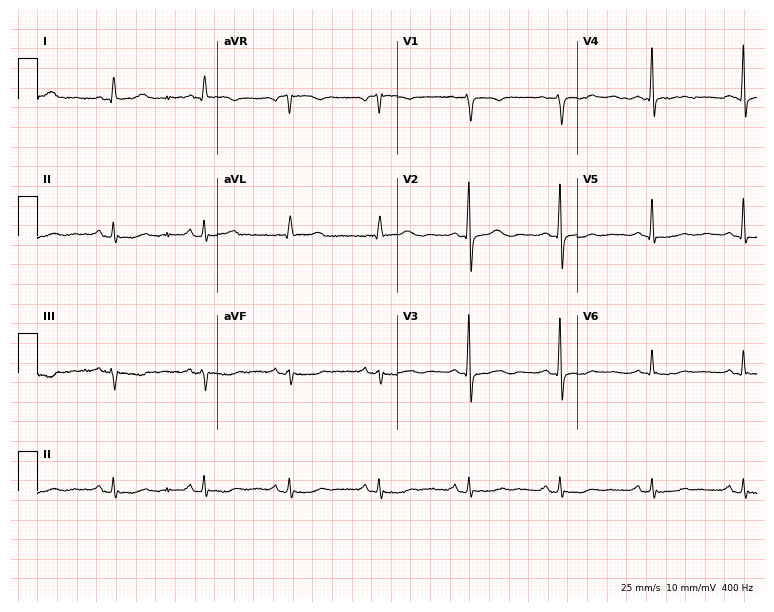
12-lead ECG from a 61-year-old female. No first-degree AV block, right bundle branch block (RBBB), left bundle branch block (LBBB), sinus bradycardia, atrial fibrillation (AF) or sinus tachycardia recorded for this tracing.